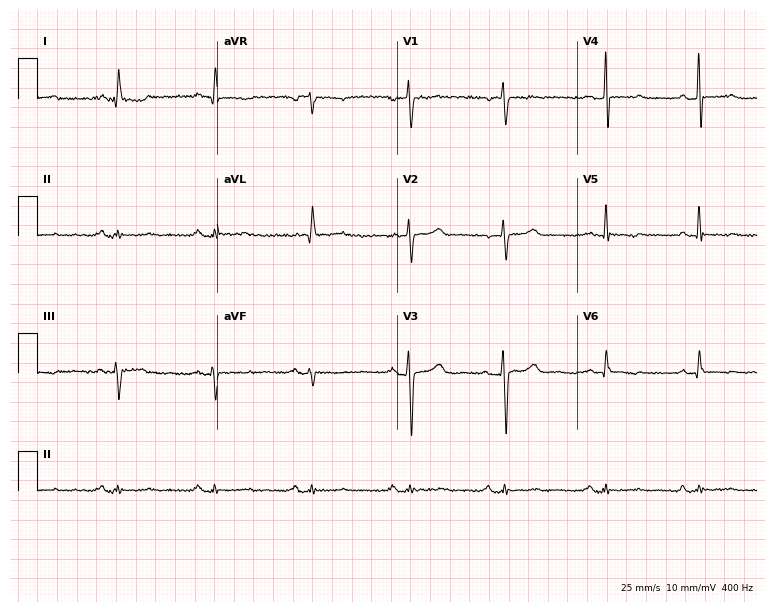
Resting 12-lead electrocardiogram (7.3-second recording at 400 Hz). Patient: a 53-year-old female. None of these six findings is recorded: first-degree AV block, right bundle branch block, left bundle branch block, sinus bradycardia, atrial fibrillation, sinus tachycardia.